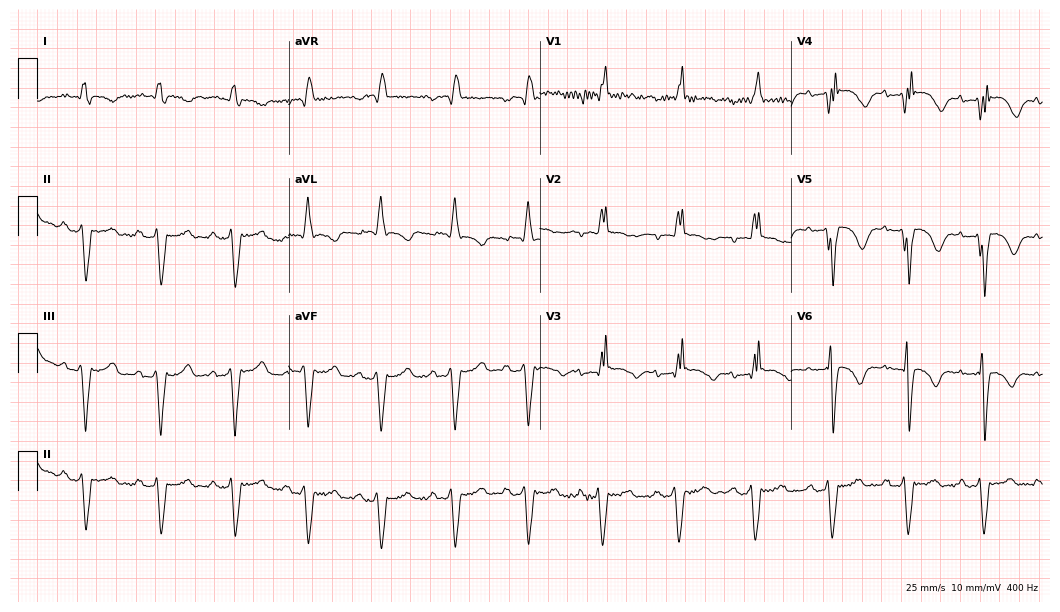
Electrocardiogram (10.2-second recording at 400 Hz), a 78-year-old male. Of the six screened findings (first-degree AV block, right bundle branch block (RBBB), left bundle branch block (LBBB), sinus bradycardia, atrial fibrillation (AF), sinus tachycardia), none is recorded.